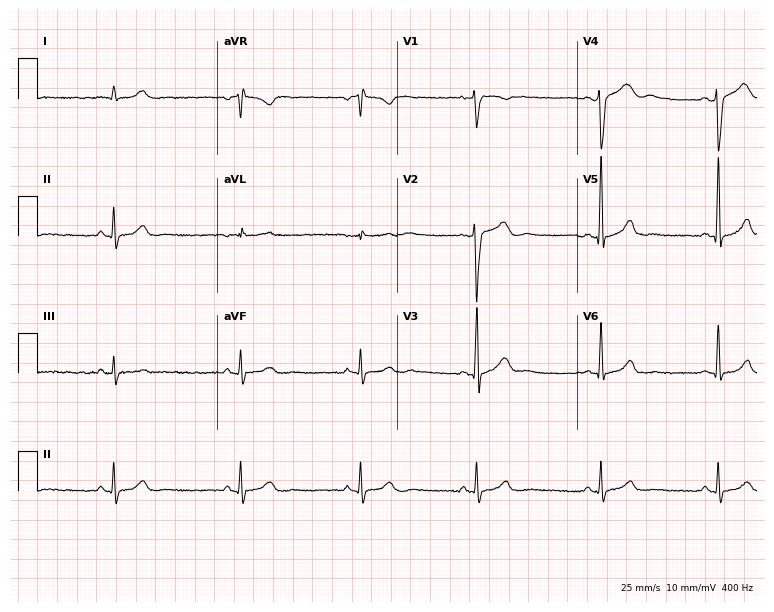
Electrocardiogram, a man, 31 years old. Interpretation includes sinus bradycardia (a sinus rate of 50 beats per minute or less).